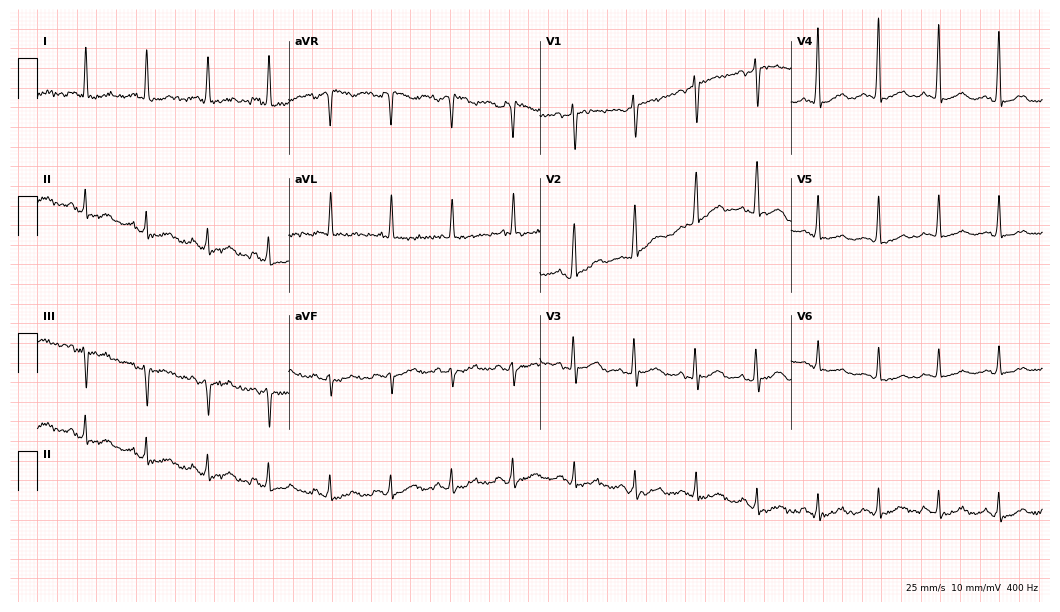
12-lead ECG from a 60-year-old female (10.2-second recording at 400 Hz). No first-degree AV block, right bundle branch block, left bundle branch block, sinus bradycardia, atrial fibrillation or sinus tachycardia recorded for this tracing. Other findings, if any, are not listed.